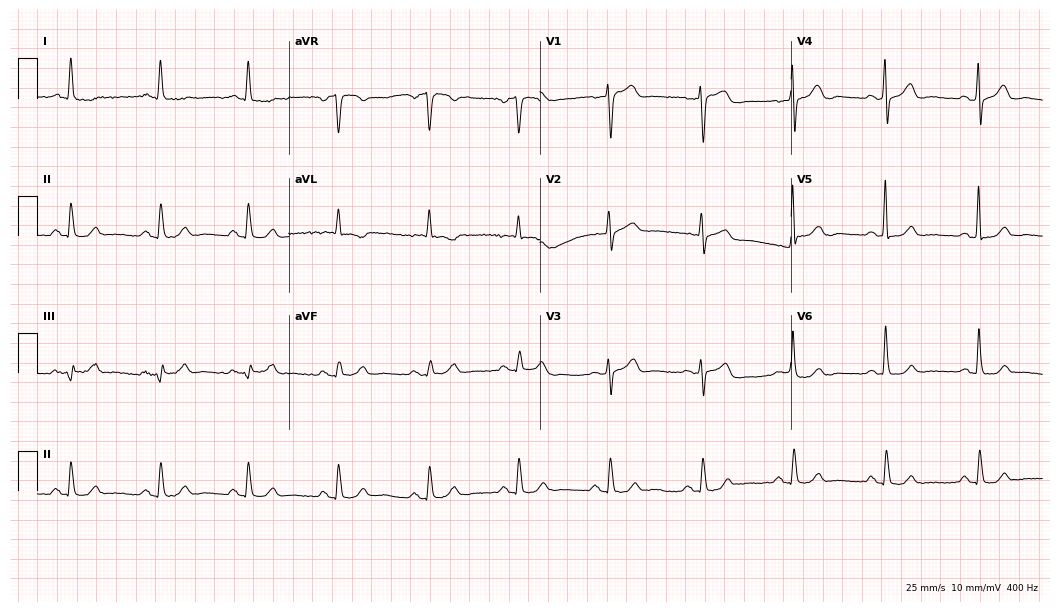
12-lead ECG from a female patient, 81 years old. Recorded interpretation: within normal limits.